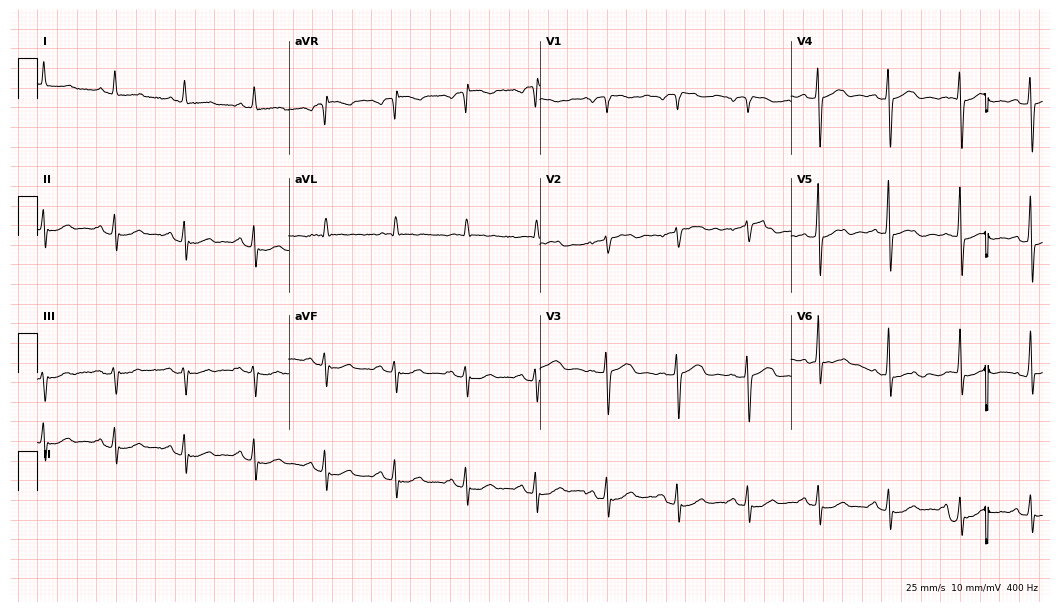
Resting 12-lead electrocardiogram. Patient: a male, 76 years old. None of these six findings is recorded: first-degree AV block, right bundle branch block, left bundle branch block, sinus bradycardia, atrial fibrillation, sinus tachycardia.